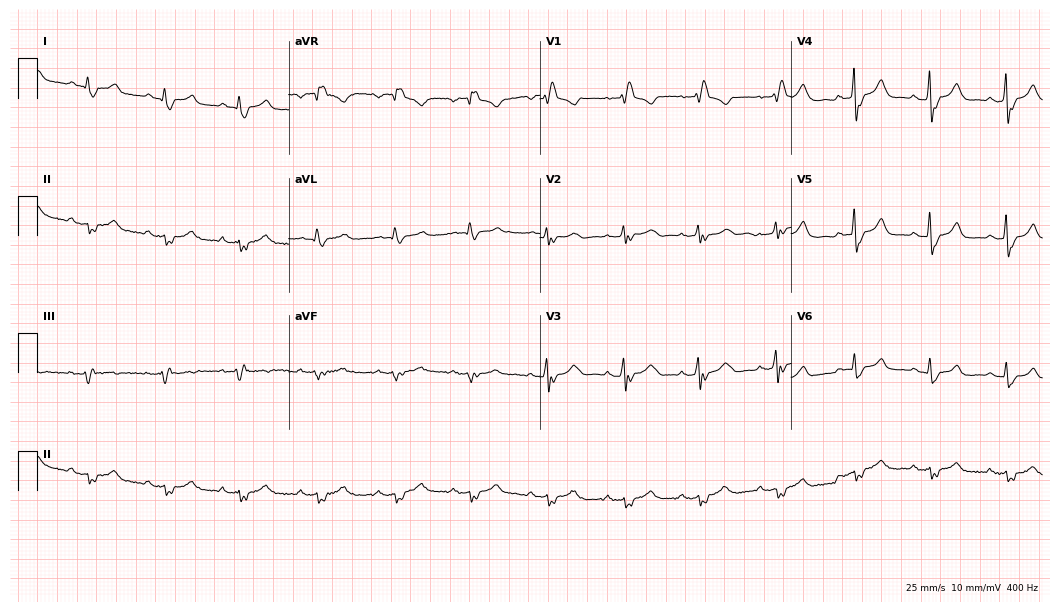
Resting 12-lead electrocardiogram. Patient: a woman, 52 years old. The tracing shows right bundle branch block.